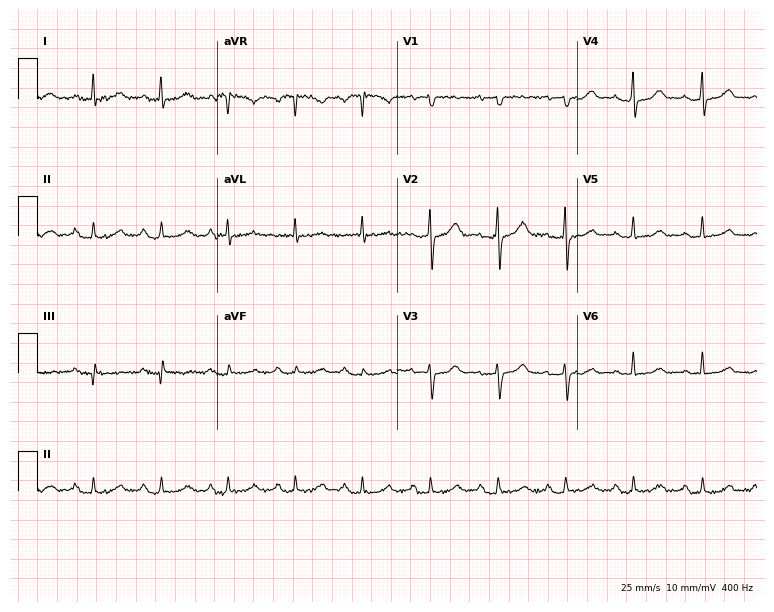
ECG — a female patient, 63 years old. Screened for six findings — first-degree AV block, right bundle branch block, left bundle branch block, sinus bradycardia, atrial fibrillation, sinus tachycardia — none is recorded.